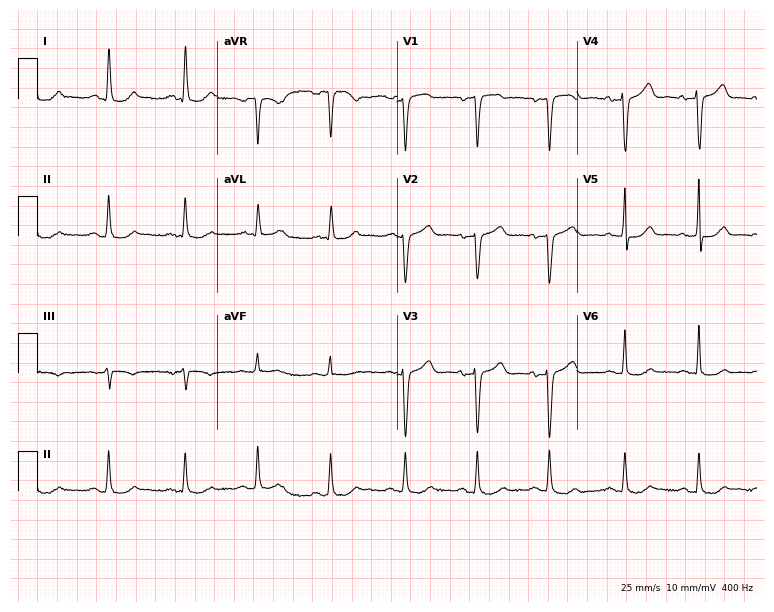
Standard 12-lead ECG recorded from a female, 53 years old. None of these six findings is recorded: first-degree AV block, right bundle branch block (RBBB), left bundle branch block (LBBB), sinus bradycardia, atrial fibrillation (AF), sinus tachycardia. Findings outside these six are not listed.